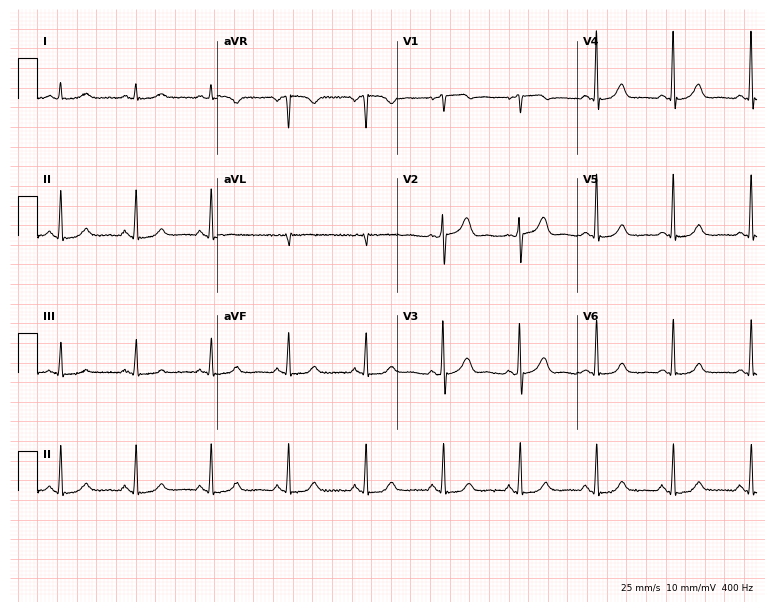
12-lead ECG from a 62-year-old woman. Labelled as a normal ECG.